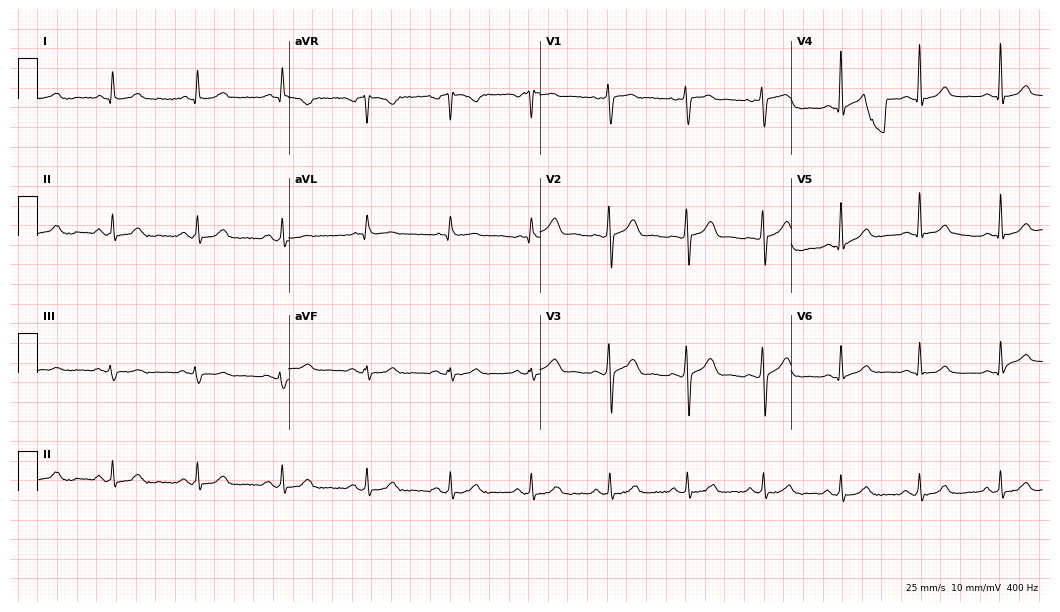
Resting 12-lead electrocardiogram (10.2-second recording at 400 Hz). Patient: a male, 48 years old. Read as a normal ECG.